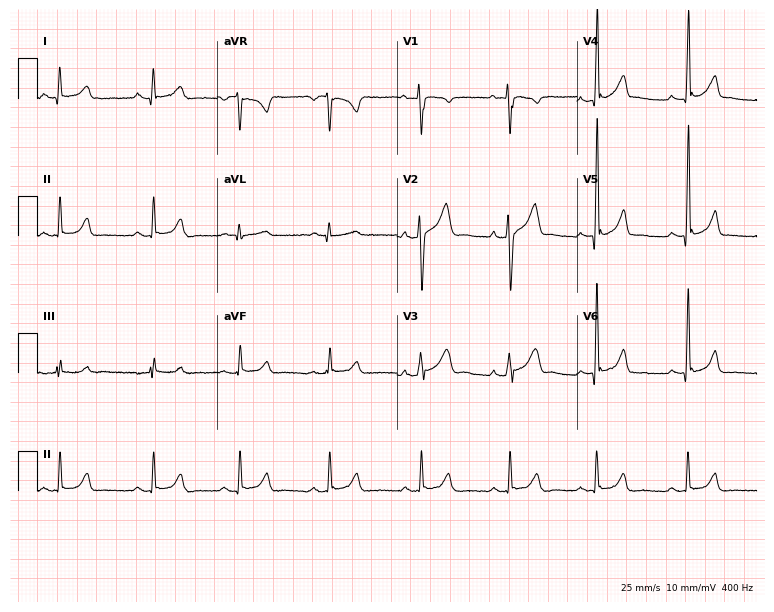
ECG — a man, 33 years old. Screened for six findings — first-degree AV block, right bundle branch block, left bundle branch block, sinus bradycardia, atrial fibrillation, sinus tachycardia — none is recorded.